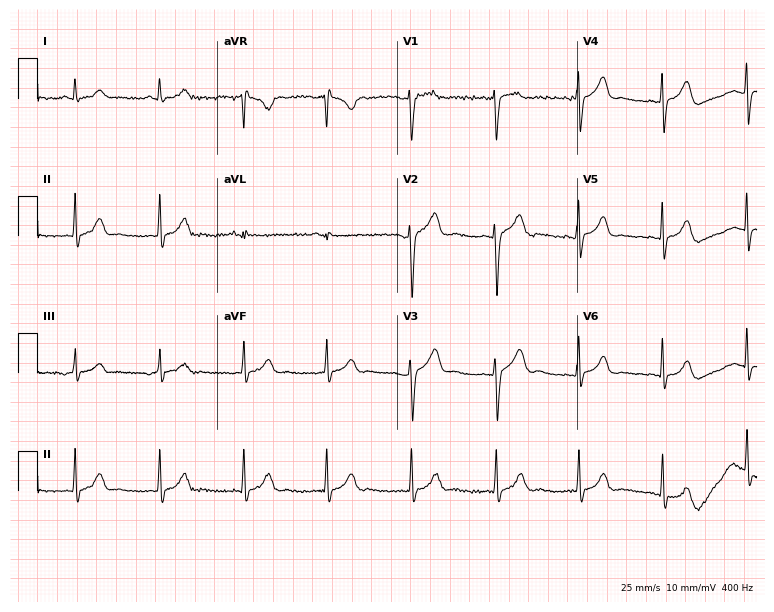
Standard 12-lead ECG recorded from a 34-year-old female patient. Read as a normal ECG.